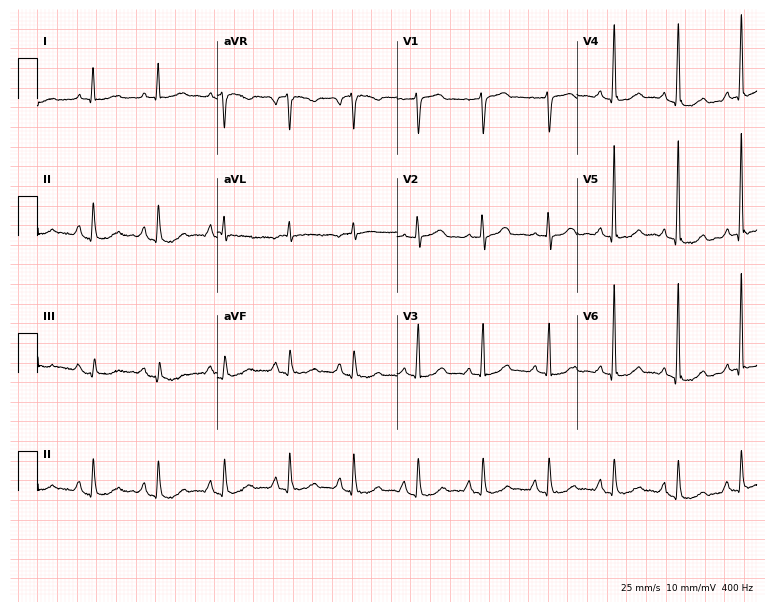
12-lead ECG from a male patient, 55 years old. No first-degree AV block, right bundle branch block, left bundle branch block, sinus bradycardia, atrial fibrillation or sinus tachycardia recorded for this tracing.